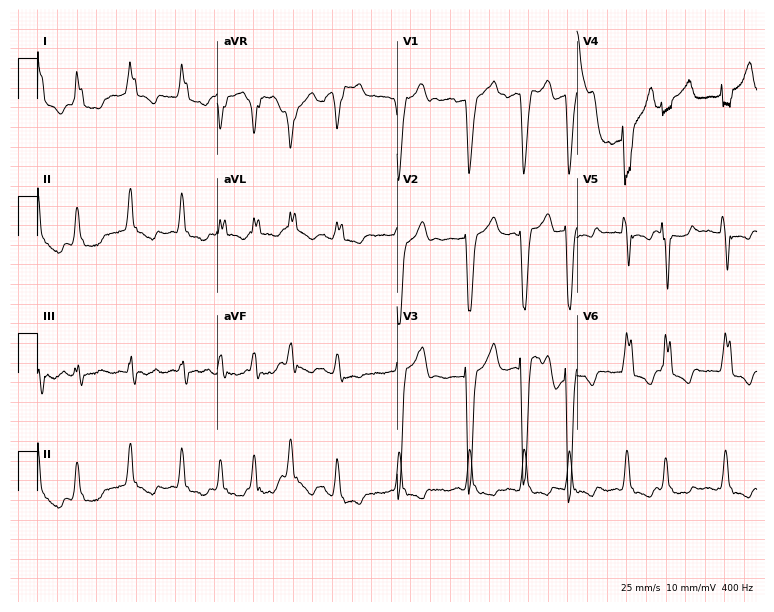
12-lead ECG from a woman, 72 years old. Findings include left bundle branch block, atrial fibrillation.